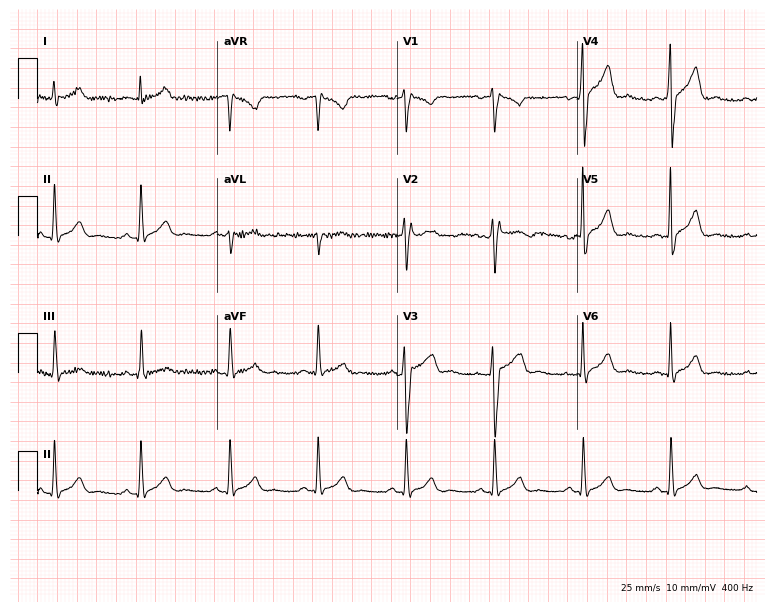
Resting 12-lead electrocardiogram (7.3-second recording at 400 Hz). Patient: a 41-year-old female. Read as a normal ECG.